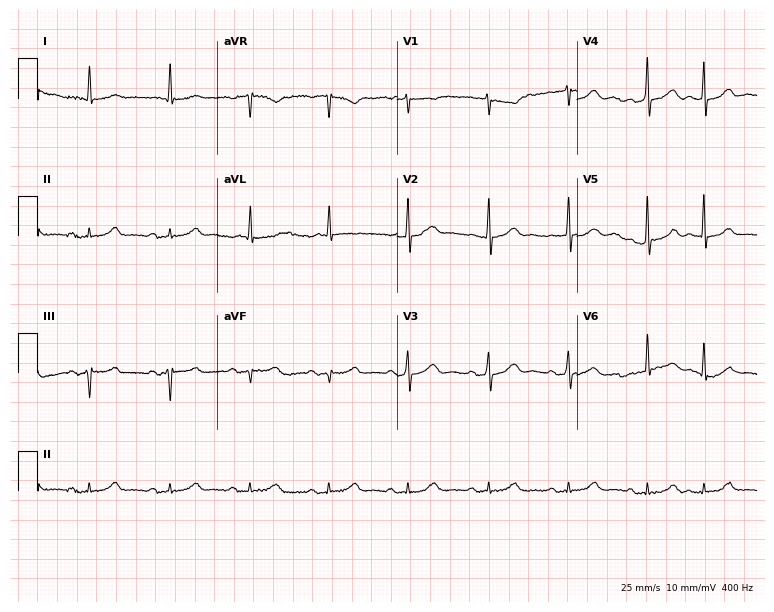
Resting 12-lead electrocardiogram (7.3-second recording at 400 Hz). Patient: an 82-year-old man. Read as a normal ECG.